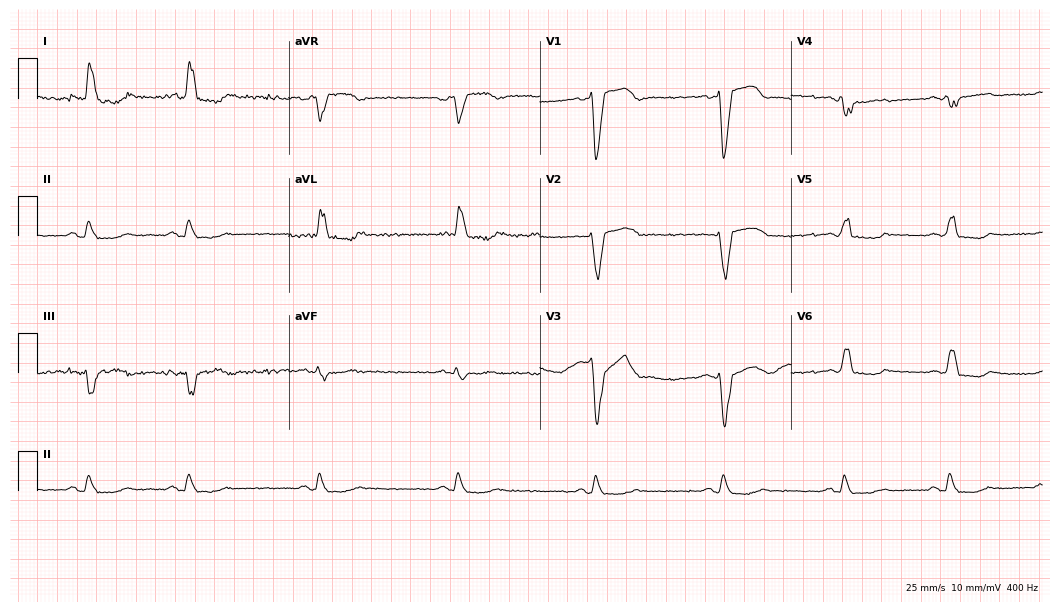
12-lead ECG from a 68-year-old male. Findings include right bundle branch block, left bundle branch block.